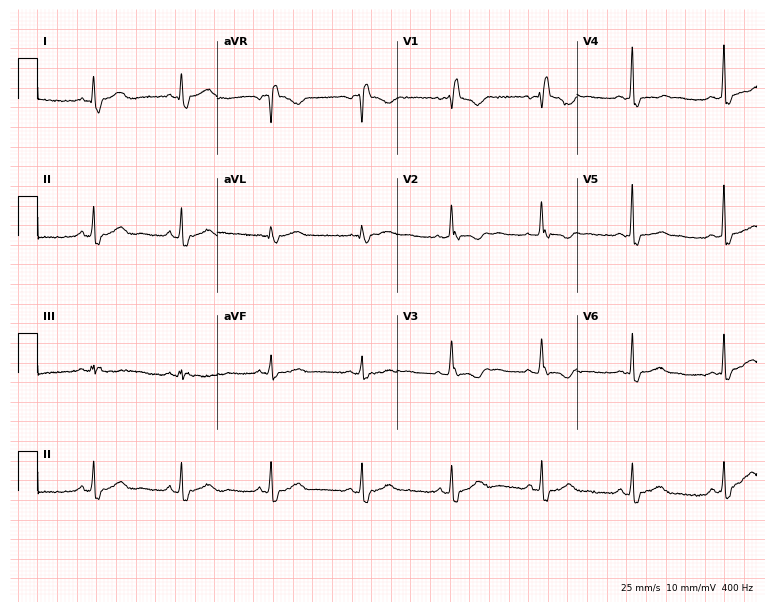
12-lead ECG (7.3-second recording at 400 Hz) from a female patient, 48 years old. Findings include right bundle branch block (RBBB).